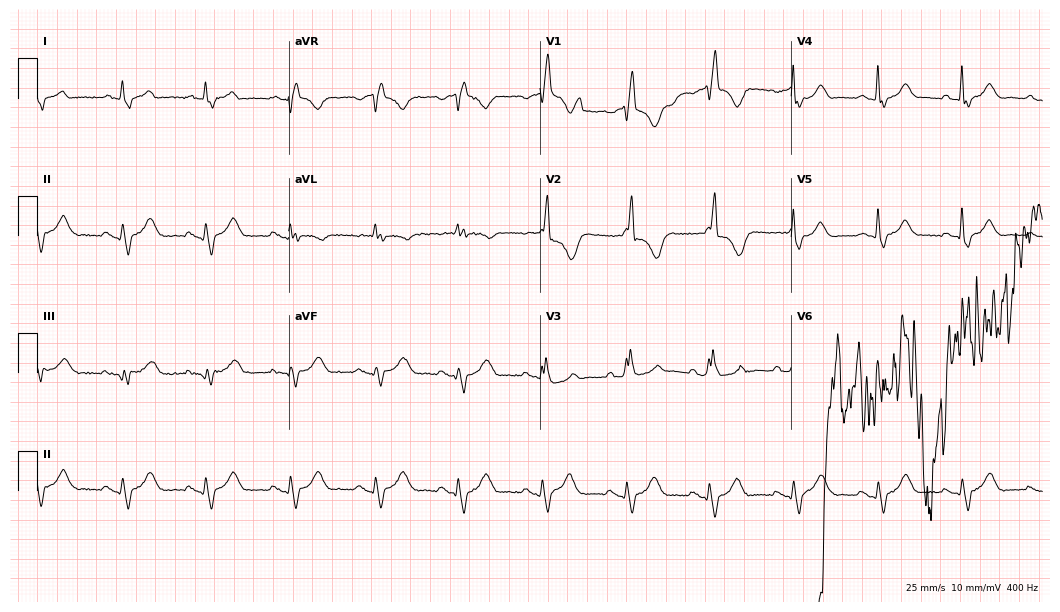
12-lead ECG (10.2-second recording at 400 Hz) from a man, 68 years old. Findings include right bundle branch block (RBBB), atrial fibrillation (AF).